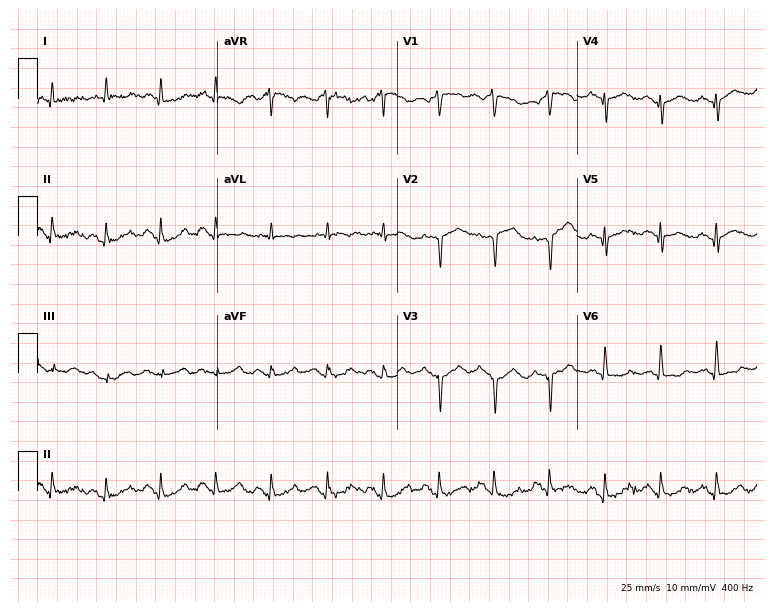
Electrocardiogram, a 76-year-old male. Interpretation includes sinus tachycardia (a sinus rate of 100 beats per minute or more).